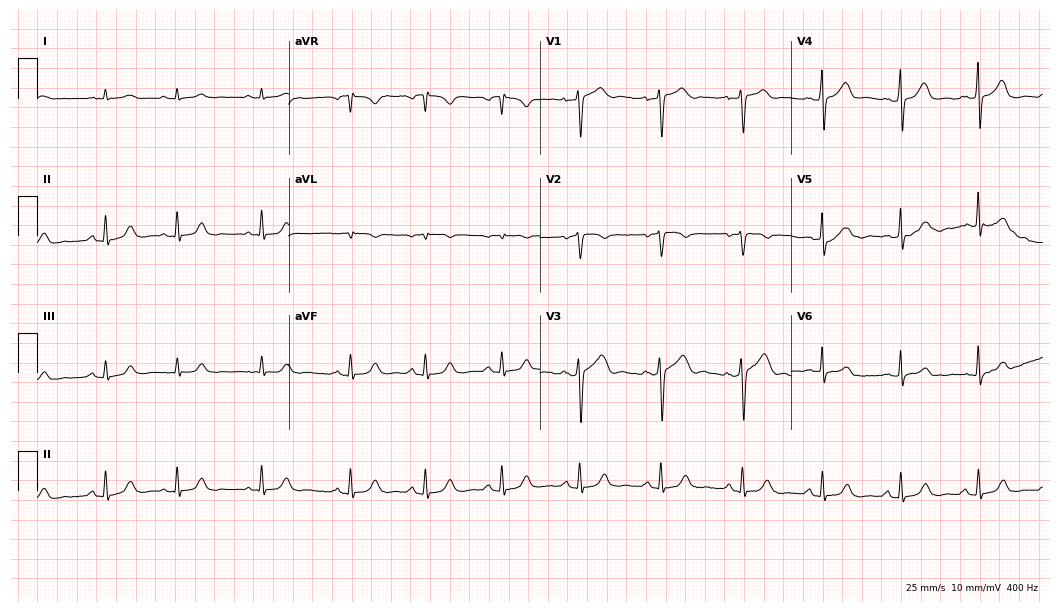
ECG — an 83-year-old man. Labelled as a normal ECG.